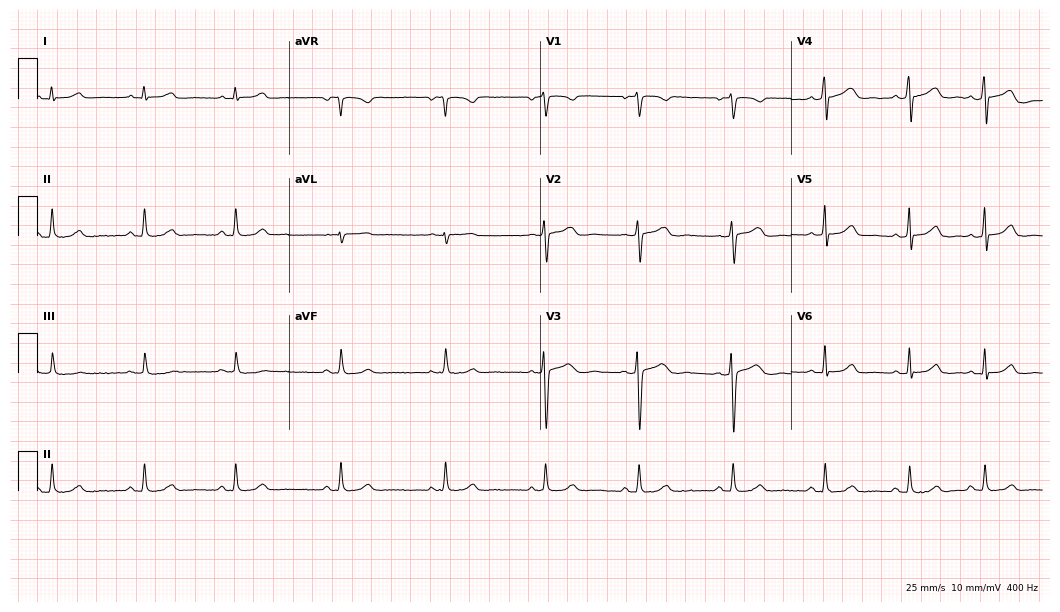
12-lead ECG from a 37-year-old female (10.2-second recording at 400 Hz). Recorded interpretation: within normal limits.